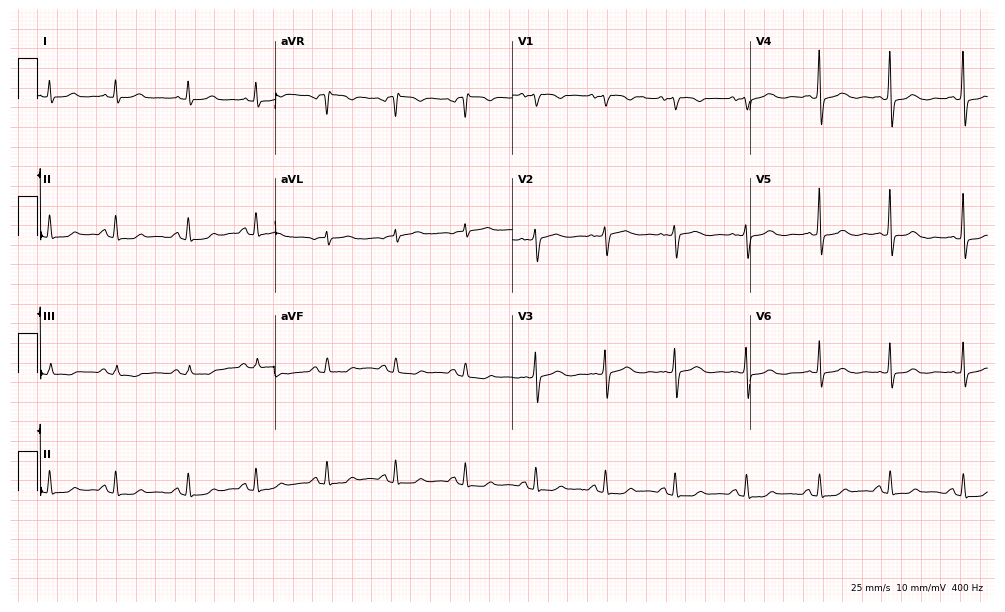
ECG (9.7-second recording at 400 Hz) — a 75-year-old female. Labelled as a normal ECG.